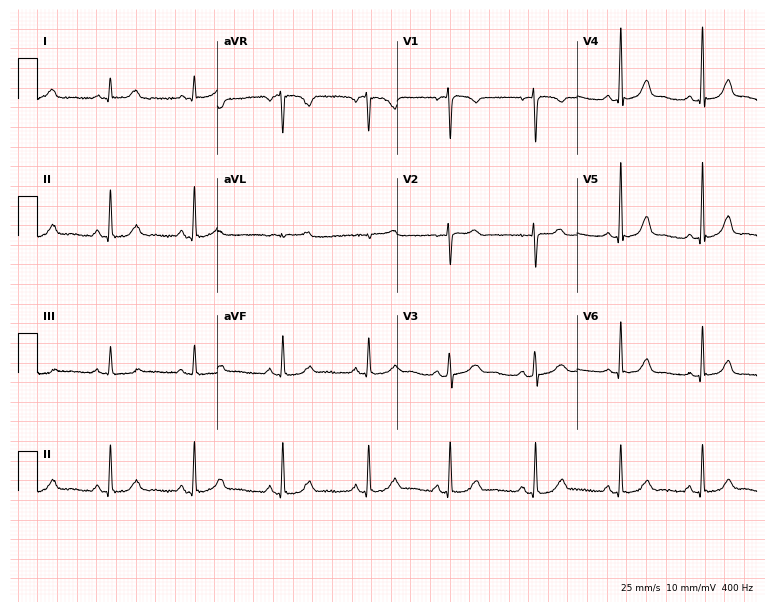
Standard 12-lead ECG recorded from a female, 39 years old (7.3-second recording at 400 Hz). Read as a normal ECG.